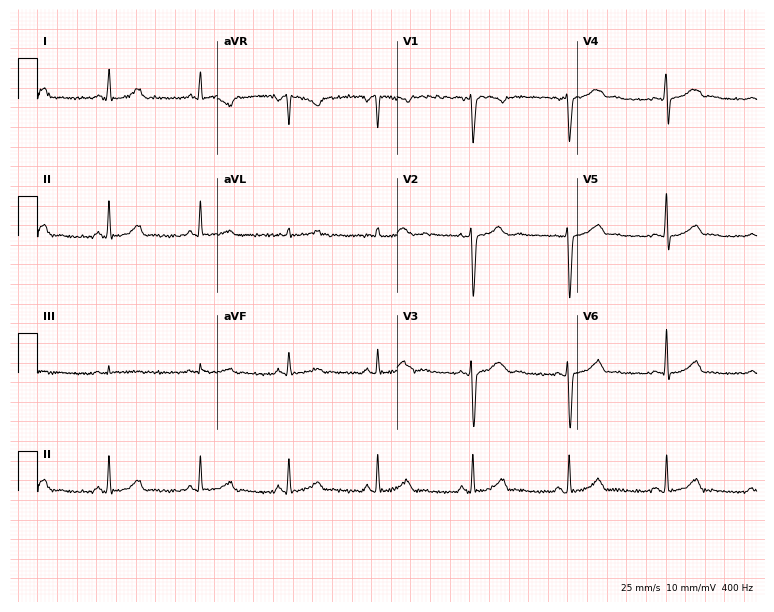
ECG — a 25-year-old woman. Screened for six findings — first-degree AV block, right bundle branch block (RBBB), left bundle branch block (LBBB), sinus bradycardia, atrial fibrillation (AF), sinus tachycardia — none is recorded.